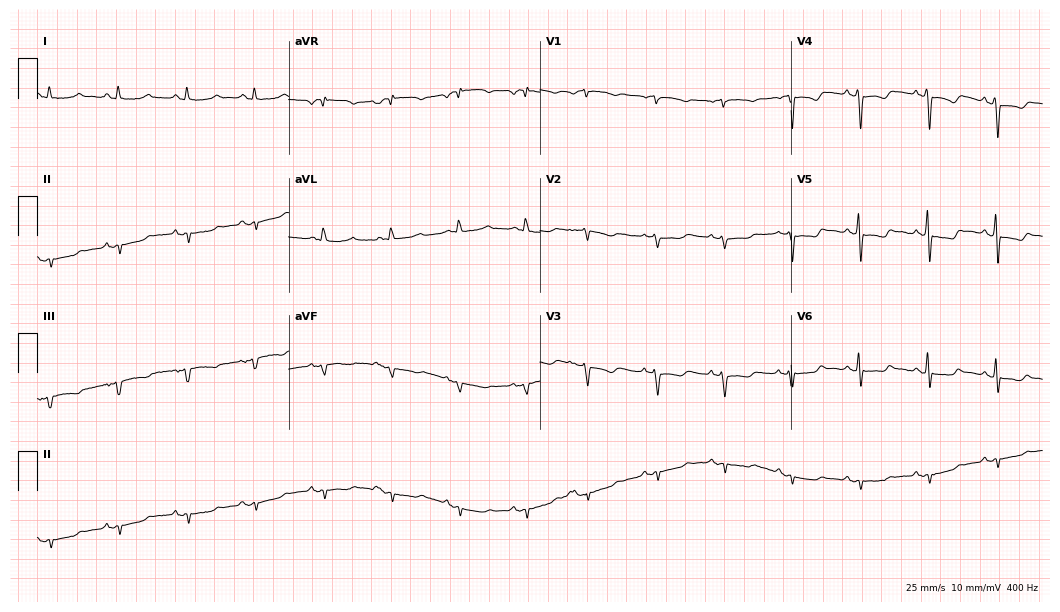
Electrocardiogram (10.2-second recording at 400 Hz), a female, 77 years old. Of the six screened findings (first-degree AV block, right bundle branch block, left bundle branch block, sinus bradycardia, atrial fibrillation, sinus tachycardia), none is recorded. Other findings, if any, are not listed.